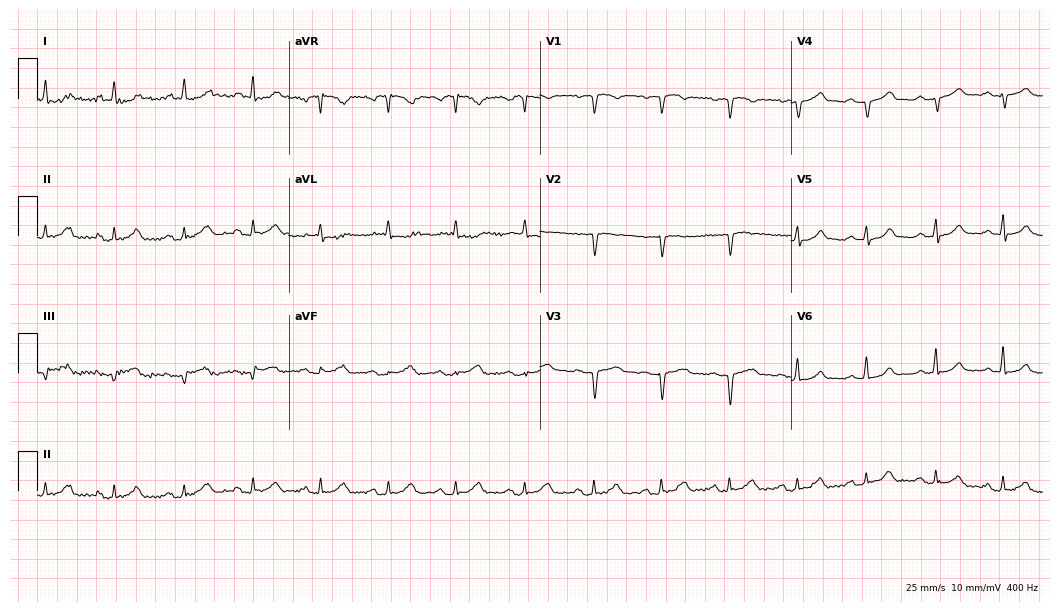
Resting 12-lead electrocardiogram (10.2-second recording at 400 Hz). Patient: a male, 67 years old. None of these six findings is recorded: first-degree AV block, right bundle branch block, left bundle branch block, sinus bradycardia, atrial fibrillation, sinus tachycardia.